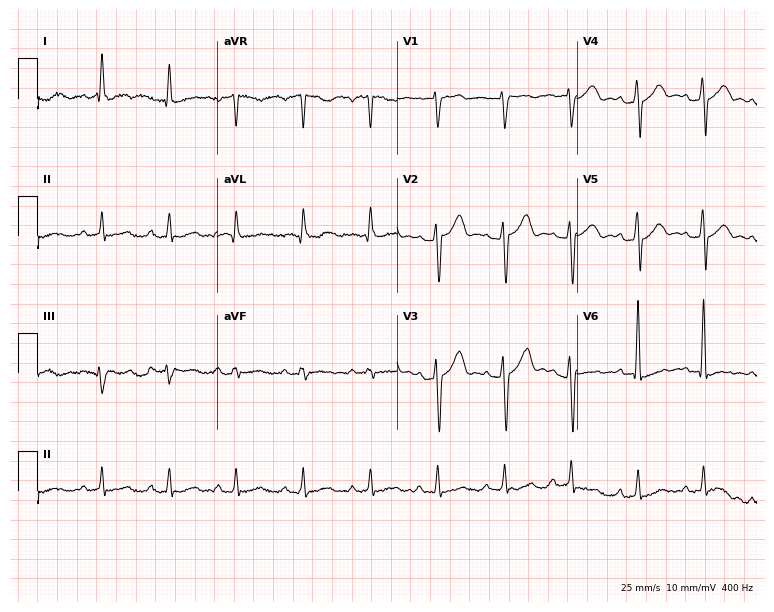
Electrocardiogram (7.3-second recording at 400 Hz), a 72-year-old man. Of the six screened findings (first-degree AV block, right bundle branch block, left bundle branch block, sinus bradycardia, atrial fibrillation, sinus tachycardia), none is recorded. Other findings, if any, are not listed.